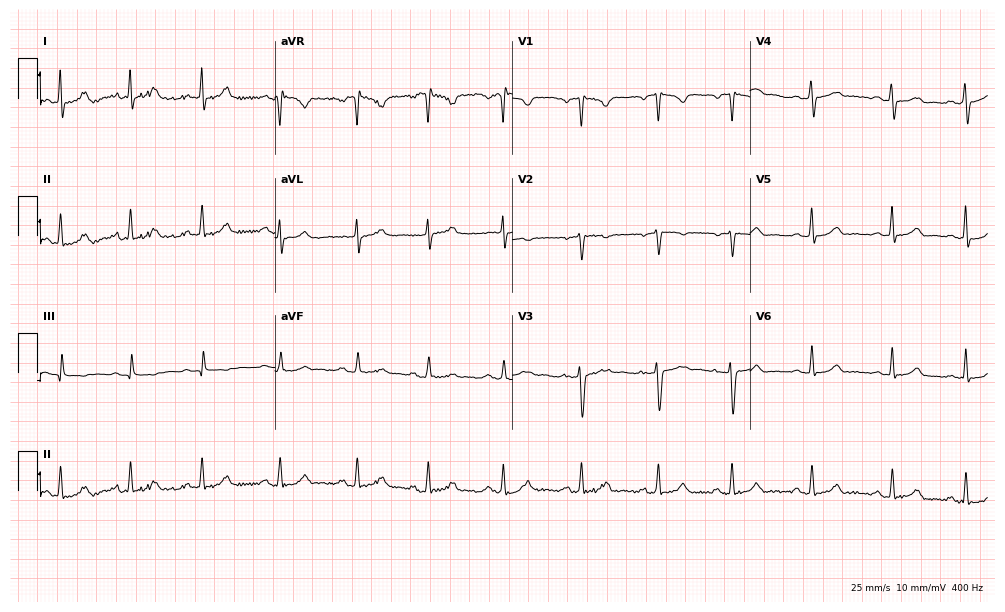
Resting 12-lead electrocardiogram. Patient: a 26-year-old female. Read as a normal ECG.